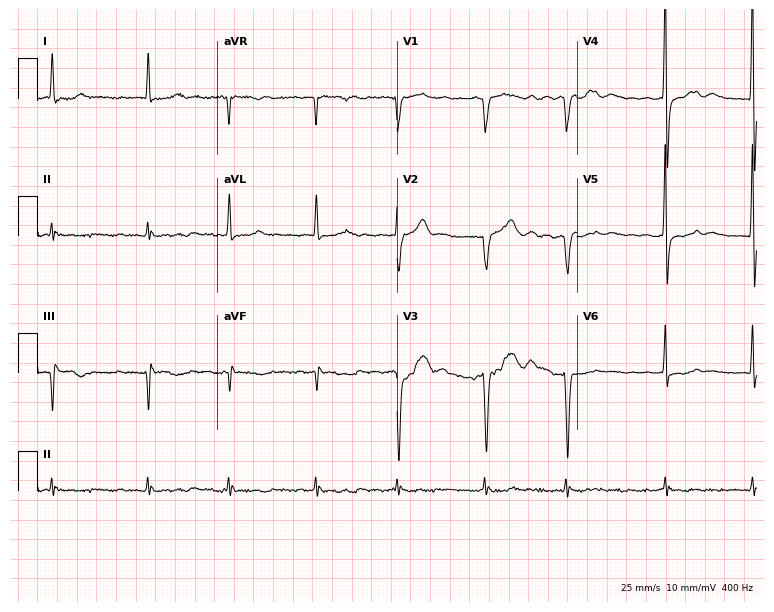
12-lead ECG from an 82-year-old man (7.3-second recording at 400 Hz). Shows atrial fibrillation.